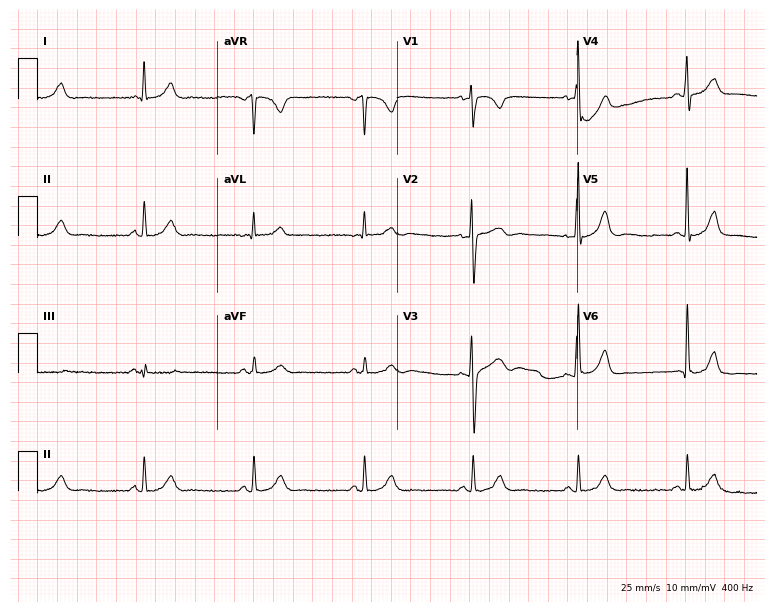
Electrocardiogram, a 47-year-old male patient. Overall reading on record: normal ECG.